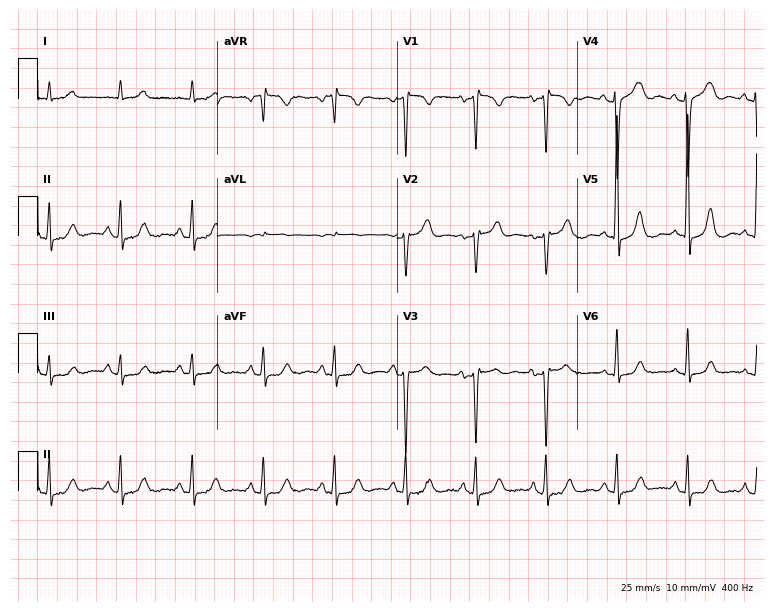
Electrocardiogram (7.3-second recording at 400 Hz), a 79-year-old woman. Of the six screened findings (first-degree AV block, right bundle branch block, left bundle branch block, sinus bradycardia, atrial fibrillation, sinus tachycardia), none is recorded.